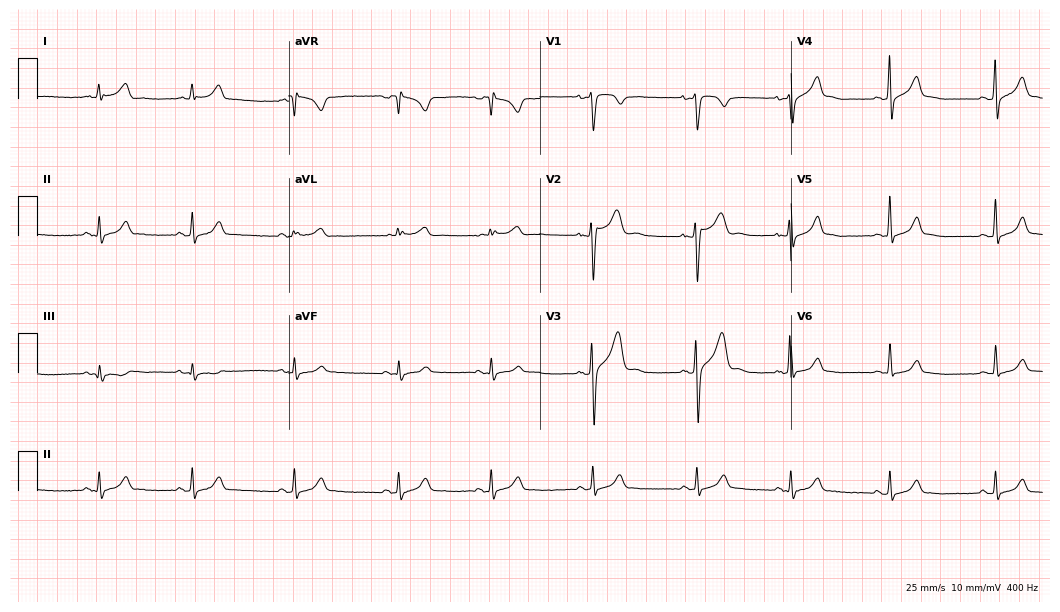
Standard 12-lead ECG recorded from a 21-year-old male patient. Read as a normal ECG.